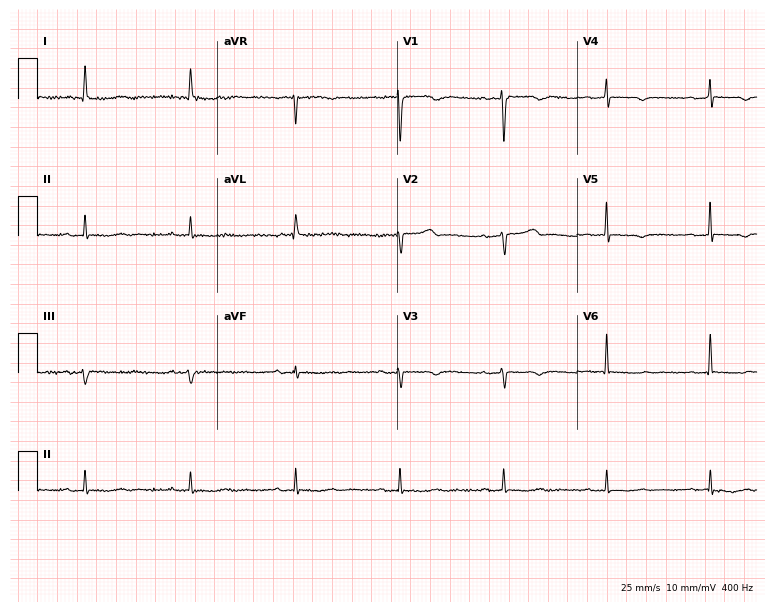
Standard 12-lead ECG recorded from a female, 73 years old. None of these six findings is recorded: first-degree AV block, right bundle branch block, left bundle branch block, sinus bradycardia, atrial fibrillation, sinus tachycardia.